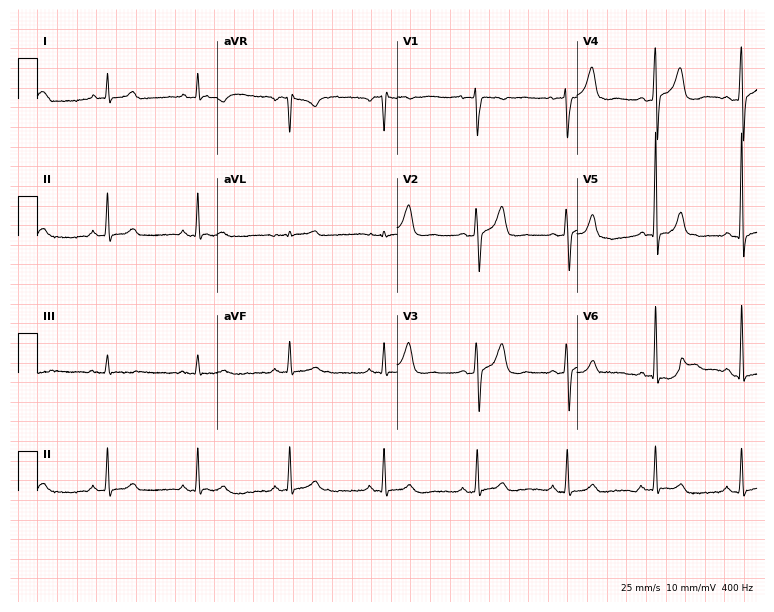
12-lead ECG from a 45-year-old male patient. No first-degree AV block, right bundle branch block, left bundle branch block, sinus bradycardia, atrial fibrillation or sinus tachycardia recorded for this tracing. Only these six findings were labelled.